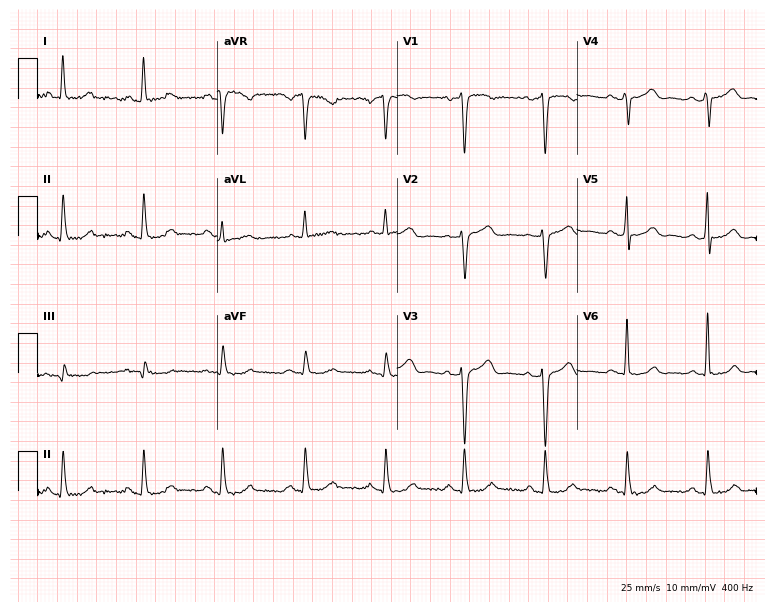
12-lead ECG from a woman, 39 years old (7.3-second recording at 400 Hz). No first-degree AV block, right bundle branch block, left bundle branch block, sinus bradycardia, atrial fibrillation or sinus tachycardia recorded for this tracing.